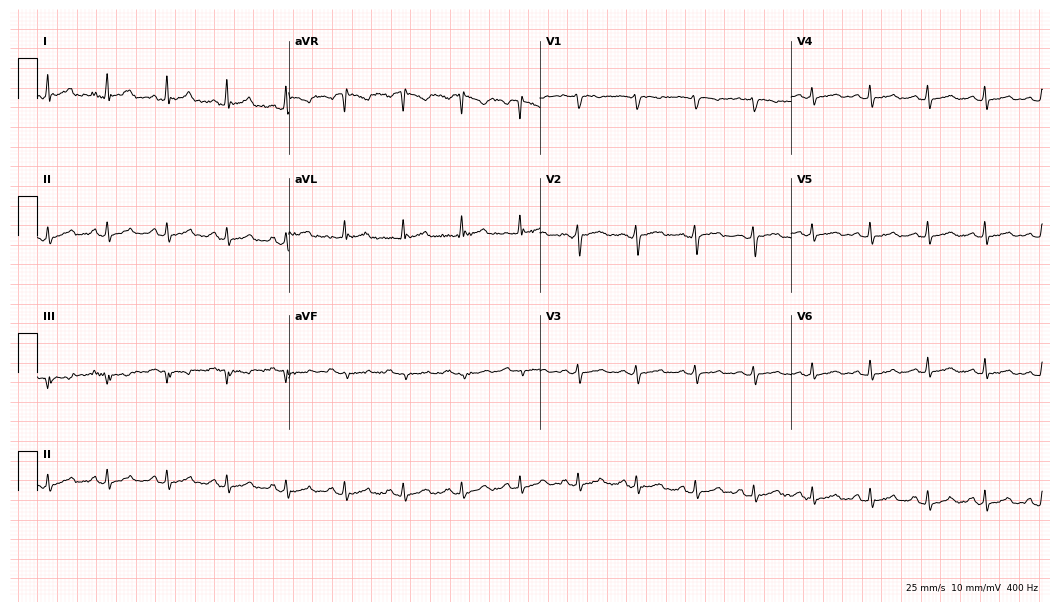
Resting 12-lead electrocardiogram. Patient: a female, 40 years old. None of these six findings is recorded: first-degree AV block, right bundle branch block, left bundle branch block, sinus bradycardia, atrial fibrillation, sinus tachycardia. Findings outside these six are not listed.